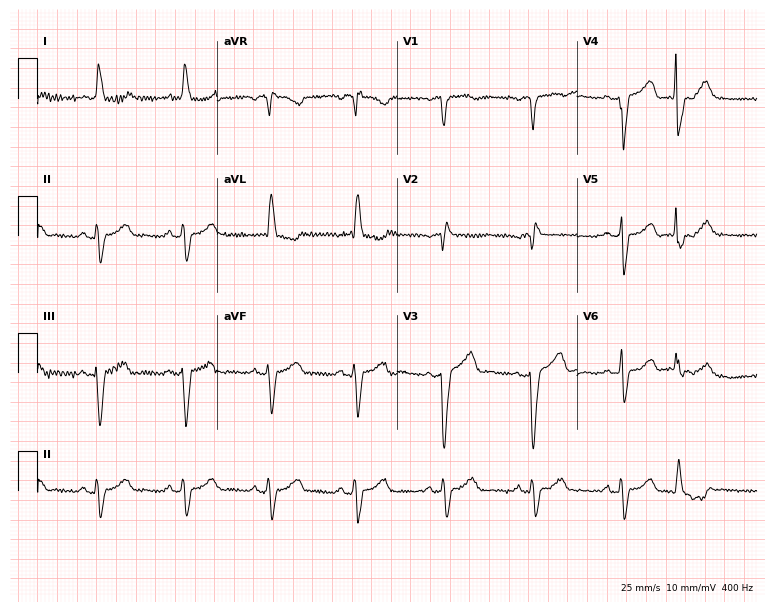
12-lead ECG from a woman, 68 years old. Findings include left bundle branch block (LBBB).